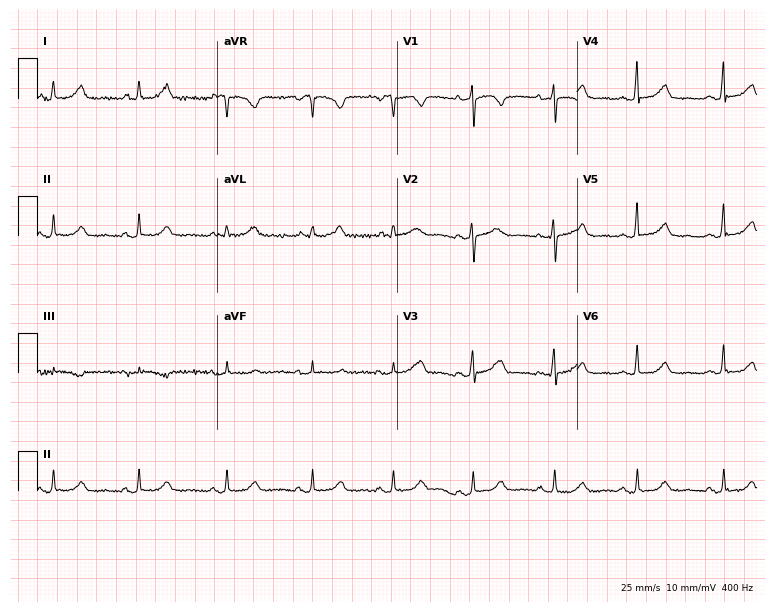
12-lead ECG (7.3-second recording at 400 Hz) from a 46-year-old woman. Labelled as a normal ECG.